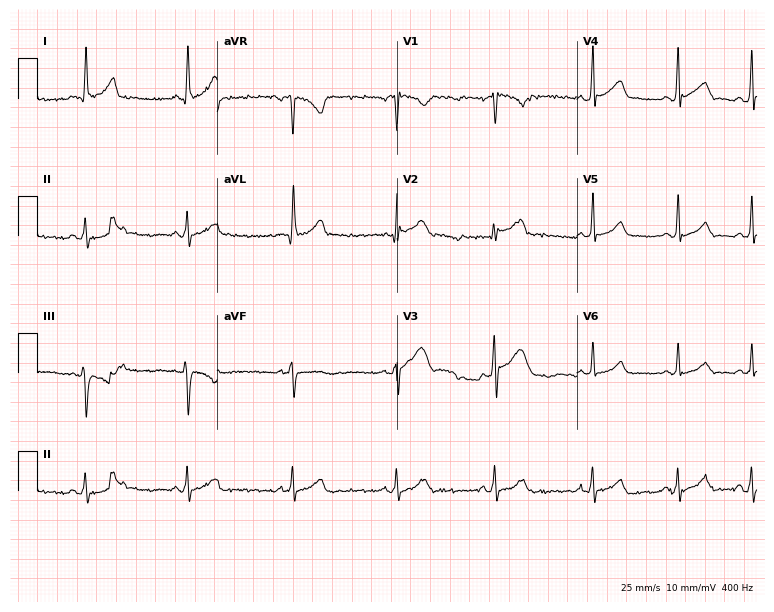
12-lead ECG from a male, 25 years old. Labelled as a normal ECG.